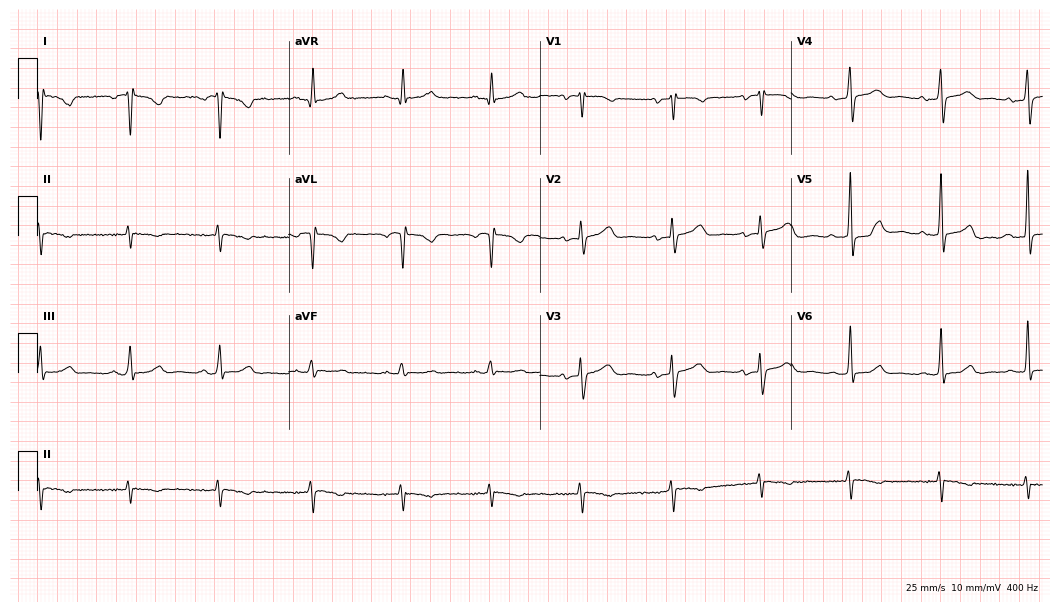
Standard 12-lead ECG recorded from a 62-year-old female. None of these six findings is recorded: first-degree AV block, right bundle branch block (RBBB), left bundle branch block (LBBB), sinus bradycardia, atrial fibrillation (AF), sinus tachycardia.